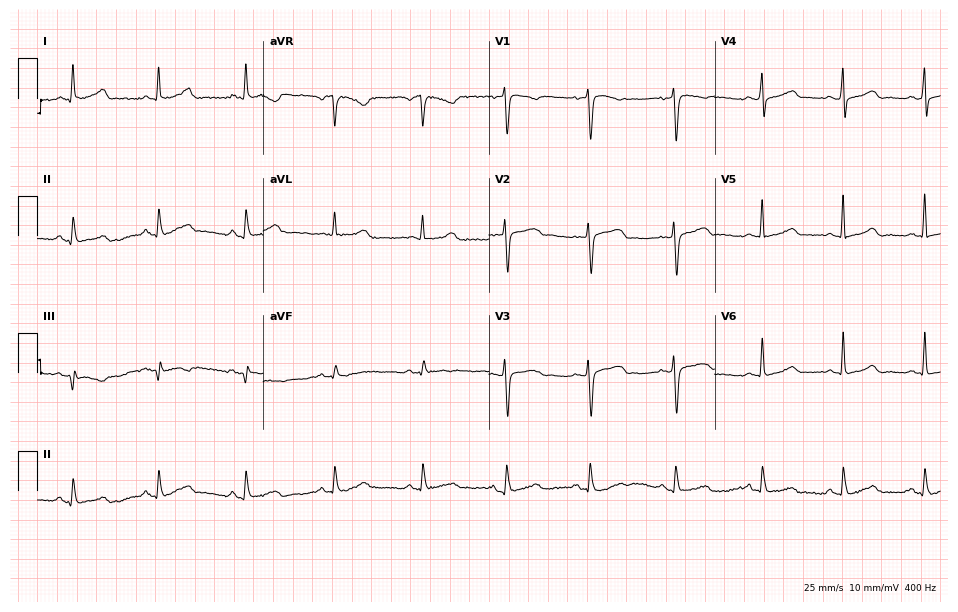
Resting 12-lead electrocardiogram (9.2-second recording at 400 Hz). Patient: a 49-year-old woman. Read as a normal ECG.